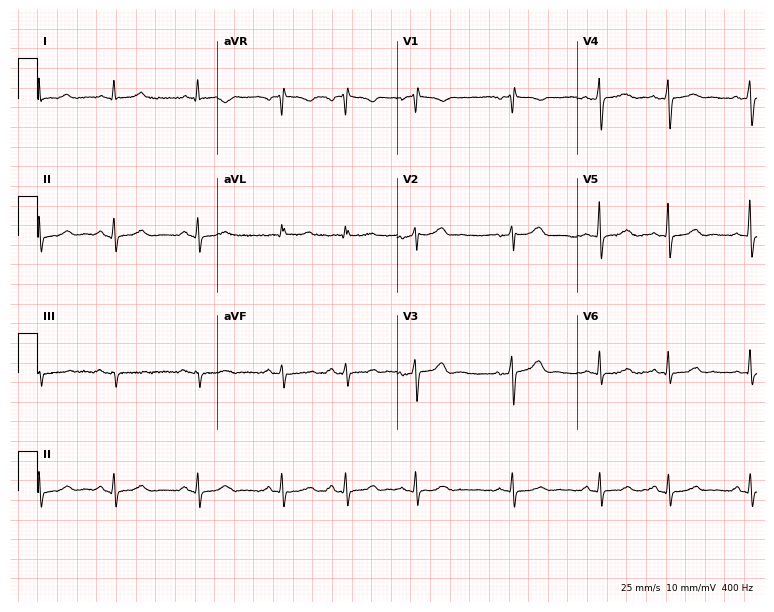
12-lead ECG from a female, 82 years old. Screened for six findings — first-degree AV block, right bundle branch block, left bundle branch block, sinus bradycardia, atrial fibrillation, sinus tachycardia — none is recorded.